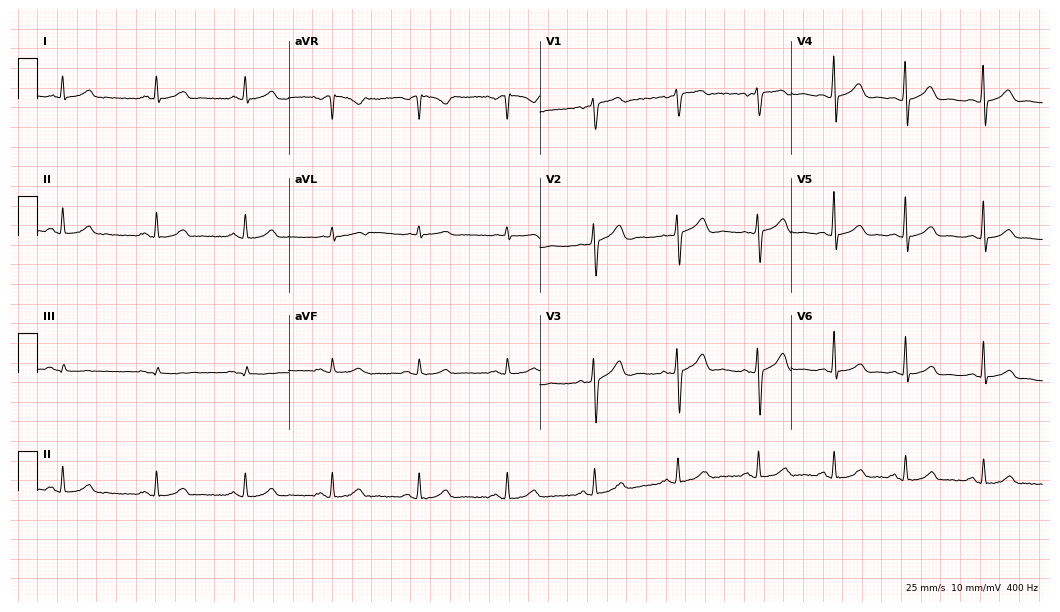
Electrocardiogram (10.2-second recording at 400 Hz), a female, 37 years old. Overall reading on record: normal ECG.